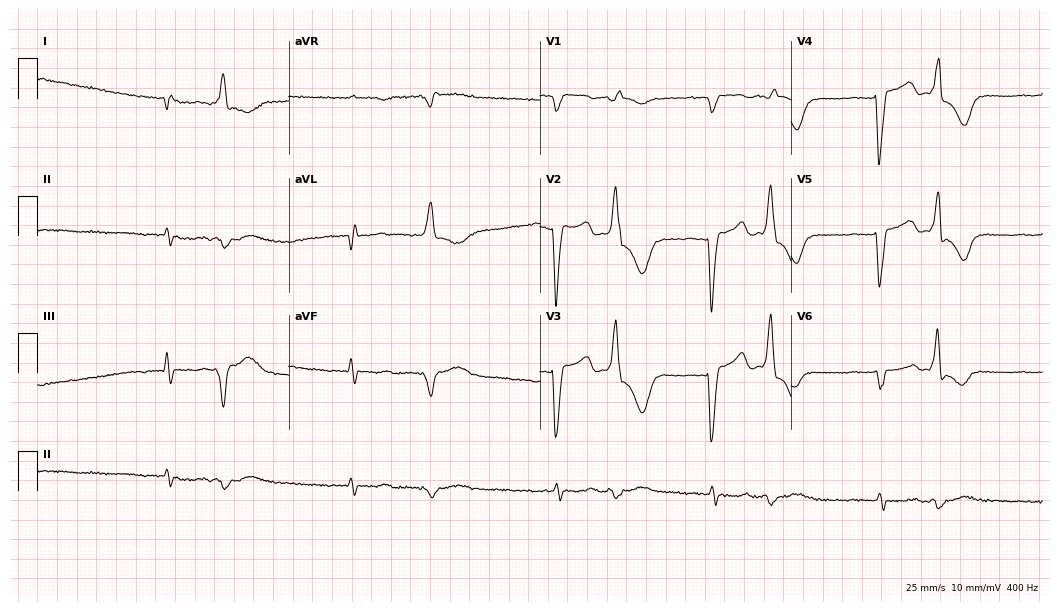
Standard 12-lead ECG recorded from a 75-year-old female (10.2-second recording at 400 Hz). None of these six findings is recorded: first-degree AV block, right bundle branch block (RBBB), left bundle branch block (LBBB), sinus bradycardia, atrial fibrillation (AF), sinus tachycardia. Other findings, if any, are not listed.